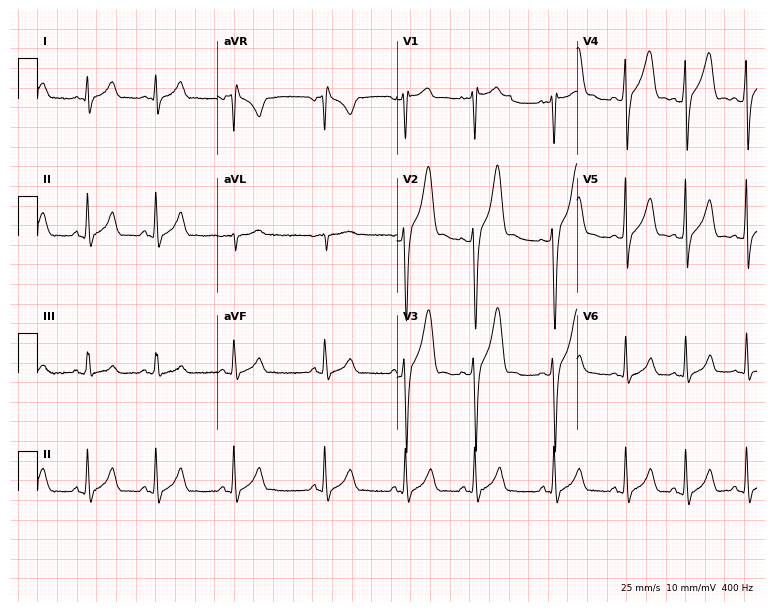
Resting 12-lead electrocardiogram. Patient: a 20-year-old man. Read as a normal ECG.